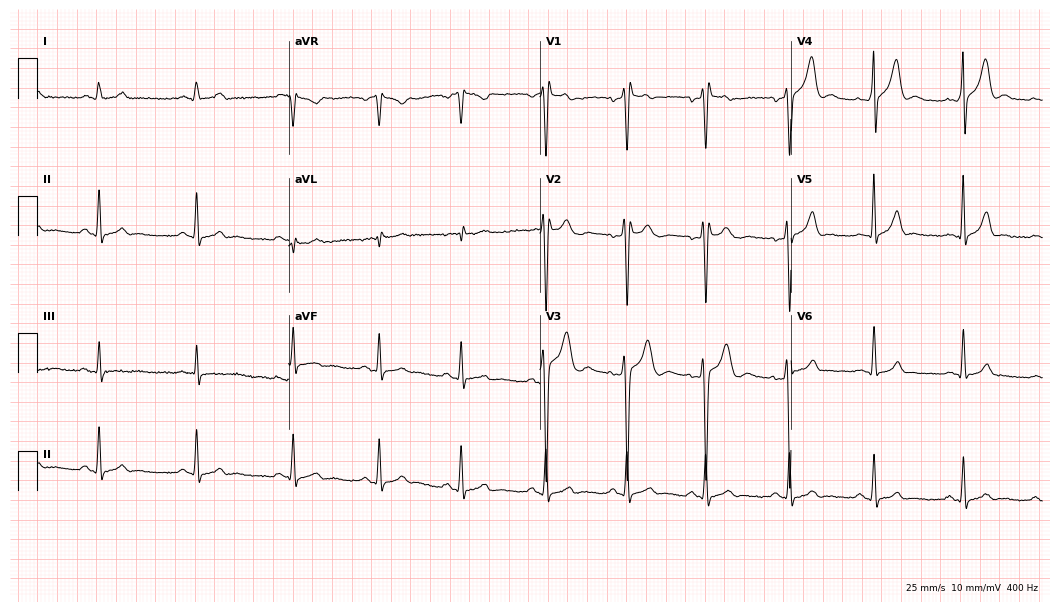
Standard 12-lead ECG recorded from a man, 22 years old. The tracing shows right bundle branch block (RBBB).